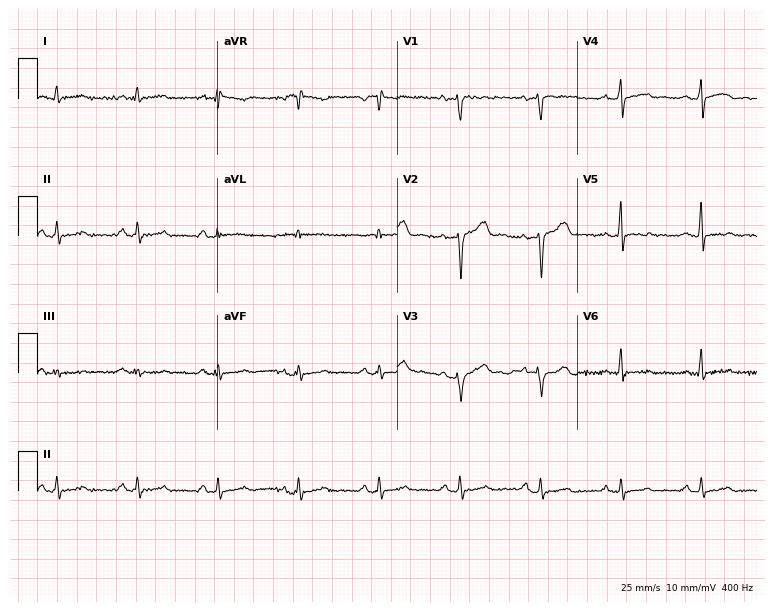
Electrocardiogram, a 41-year-old male. Overall reading on record: normal ECG.